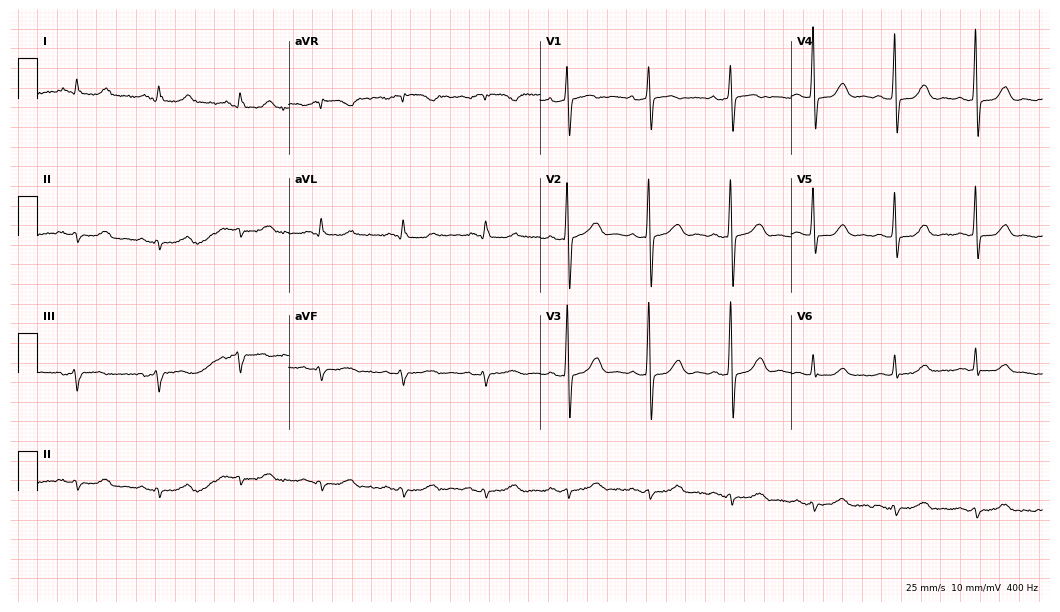
Electrocardiogram, a female patient, 76 years old. Of the six screened findings (first-degree AV block, right bundle branch block (RBBB), left bundle branch block (LBBB), sinus bradycardia, atrial fibrillation (AF), sinus tachycardia), none is recorded.